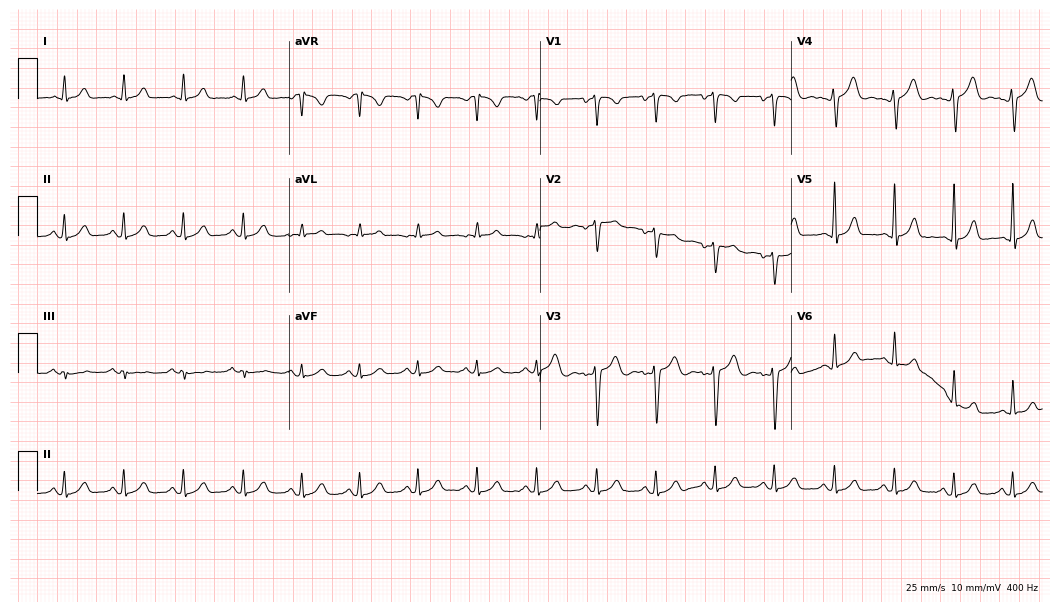
Resting 12-lead electrocardiogram. Patient: a female, 25 years old. None of these six findings is recorded: first-degree AV block, right bundle branch block, left bundle branch block, sinus bradycardia, atrial fibrillation, sinus tachycardia.